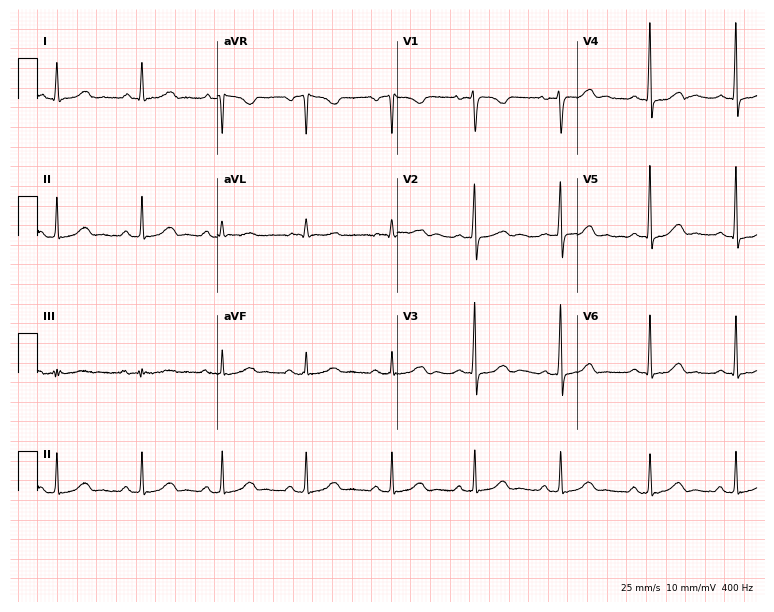
12-lead ECG from a woman, 24 years old (7.3-second recording at 400 Hz). Recorded interpretation: within normal limits.